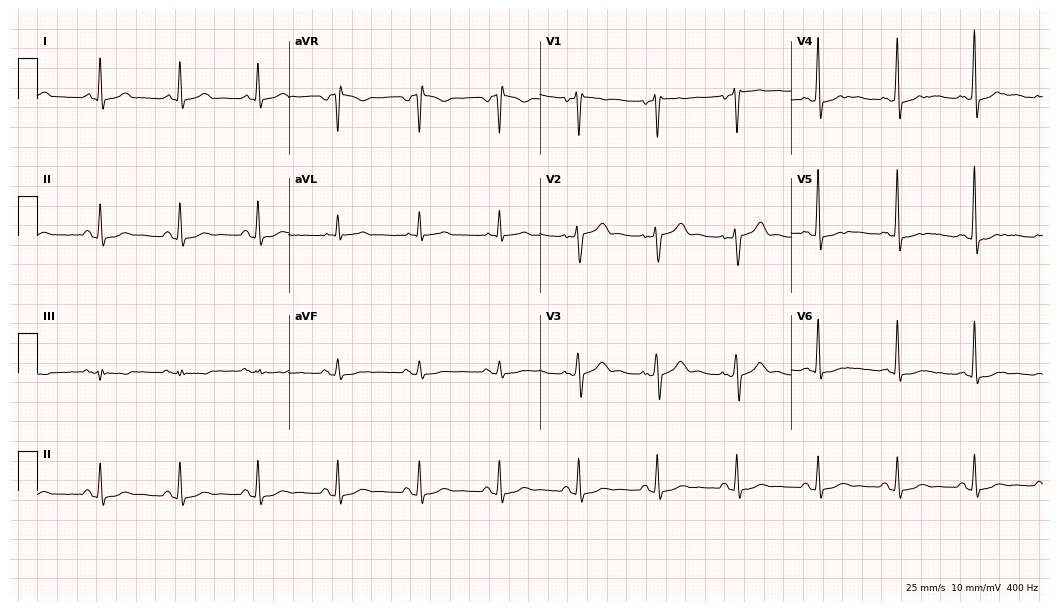
Electrocardiogram (10.2-second recording at 400 Hz), a female patient, 38 years old. Overall reading on record: normal ECG.